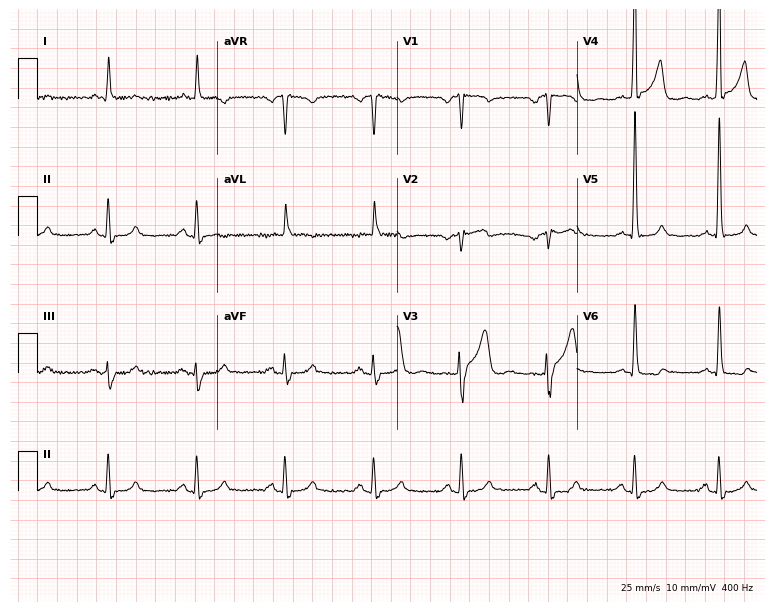
12-lead ECG (7.3-second recording at 400 Hz) from a male patient, 71 years old. Screened for six findings — first-degree AV block, right bundle branch block (RBBB), left bundle branch block (LBBB), sinus bradycardia, atrial fibrillation (AF), sinus tachycardia — none is recorded.